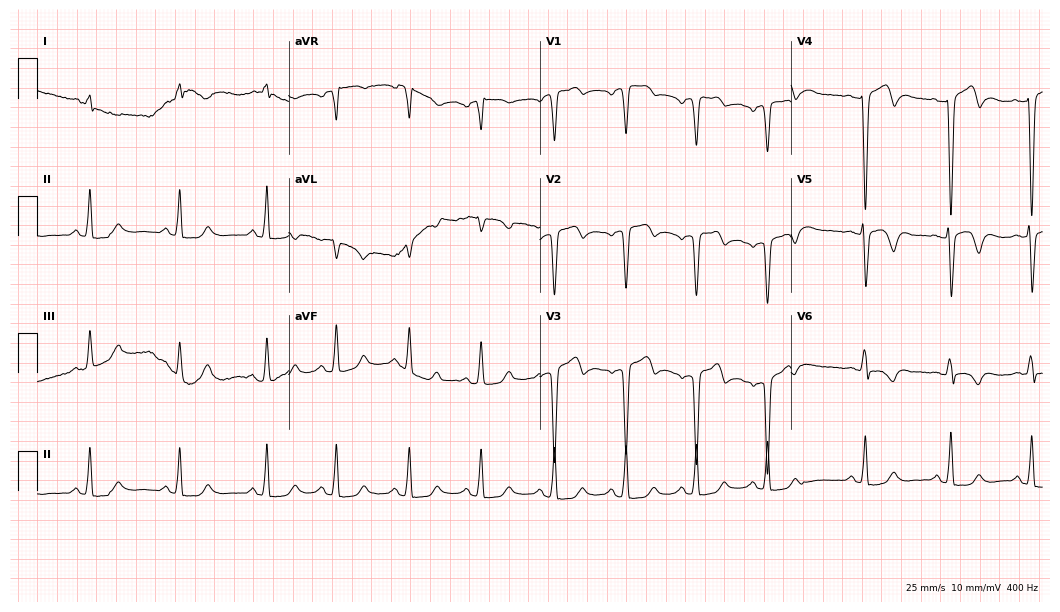
Standard 12-lead ECG recorded from a male patient, 53 years old. None of these six findings is recorded: first-degree AV block, right bundle branch block (RBBB), left bundle branch block (LBBB), sinus bradycardia, atrial fibrillation (AF), sinus tachycardia.